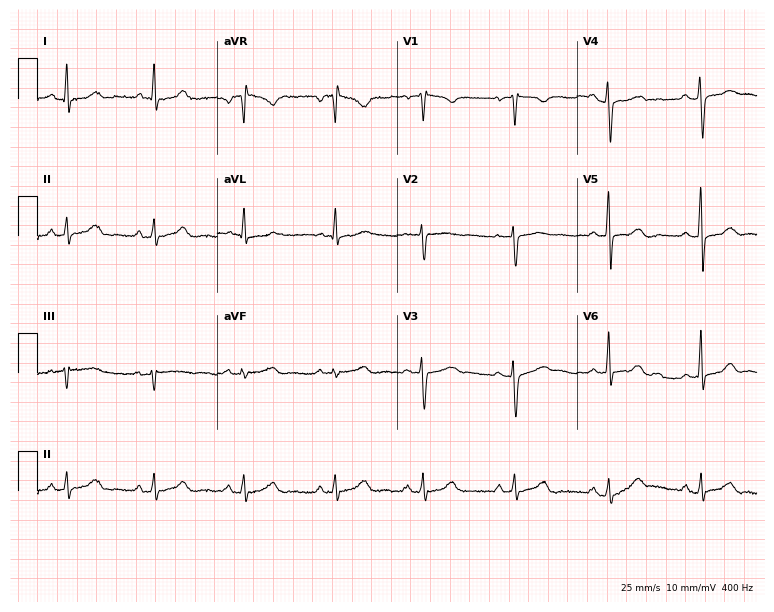
Standard 12-lead ECG recorded from a 49-year-old woman (7.3-second recording at 400 Hz). Read as a normal ECG.